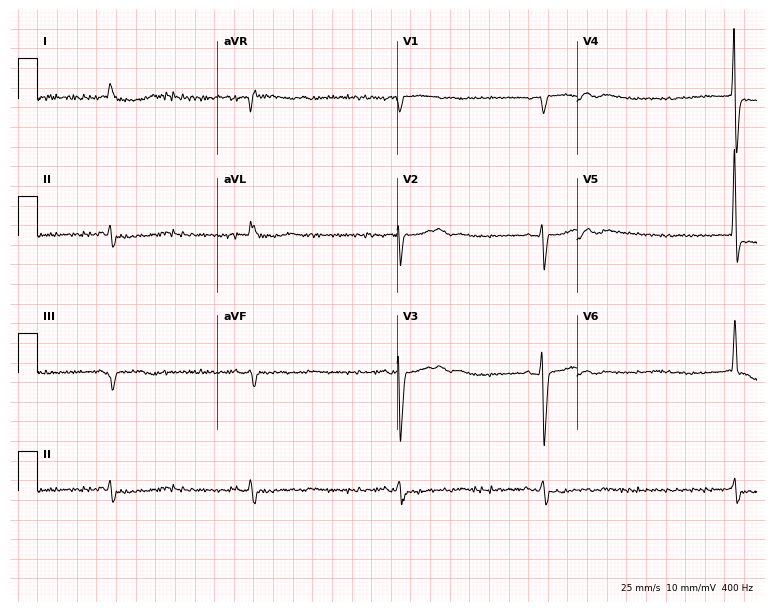
Resting 12-lead electrocardiogram (7.3-second recording at 400 Hz). Patient: an 86-year-old male. None of these six findings is recorded: first-degree AV block, right bundle branch block, left bundle branch block, sinus bradycardia, atrial fibrillation, sinus tachycardia. Other findings, if any, are not listed.